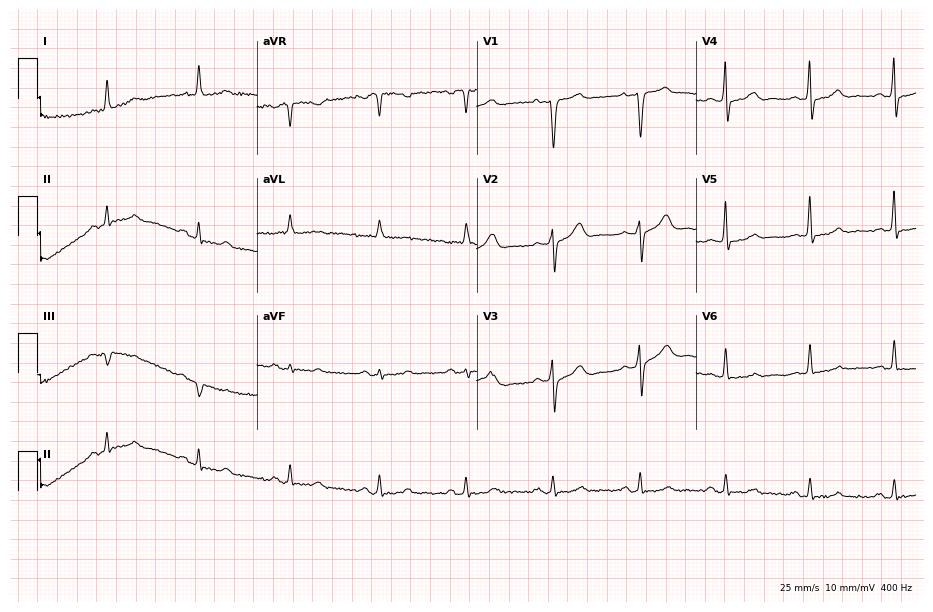
Resting 12-lead electrocardiogram (9-second recording at 400 Hz). Patient: a male, 68 years old. Read as a normal ECG.